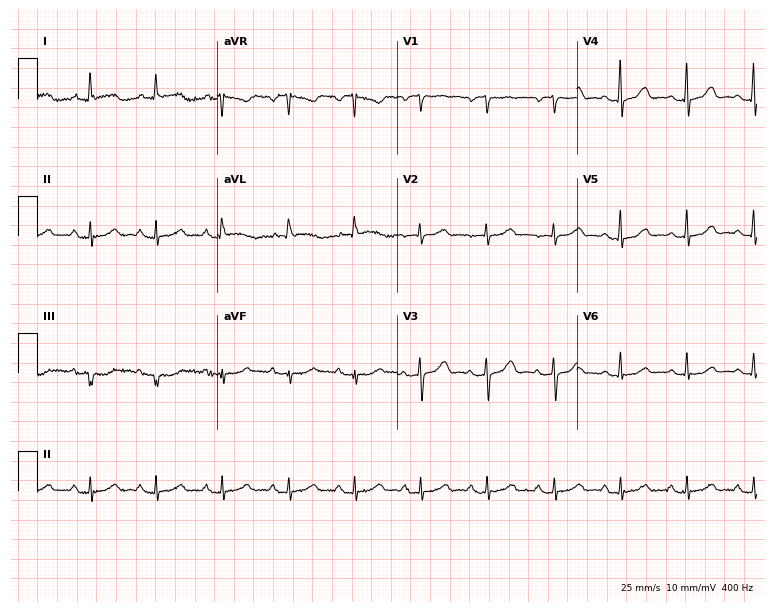
12-lead ECG from an 85-year-old female. Labelled as a normal ECG.